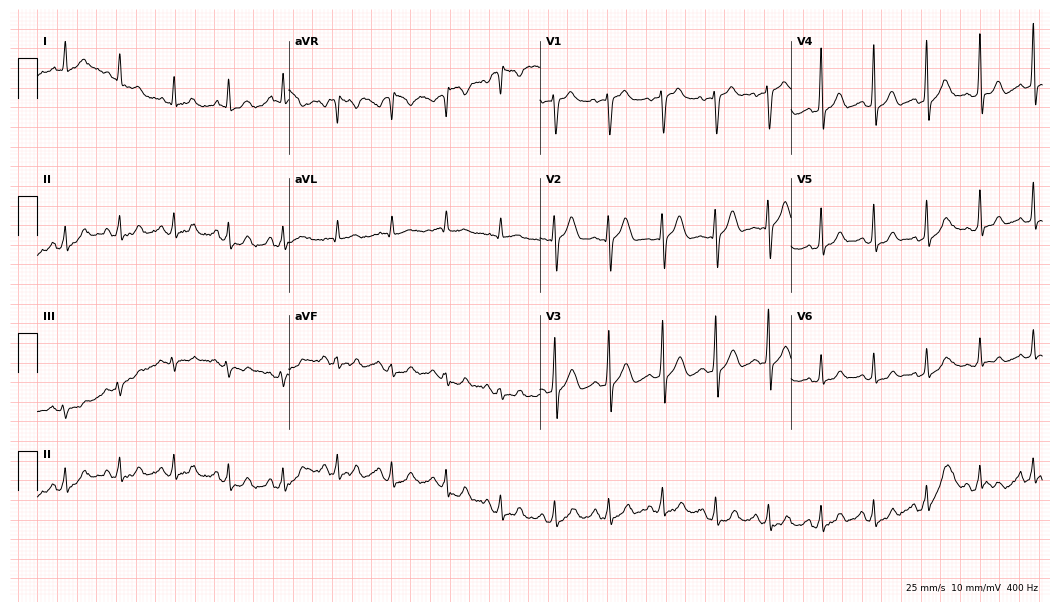
12-lead ECG from a 47-year-old male (10.2-second recording at 400 Hz). Shows sinus tachycardia (a sinus rate of 100 beats per minute or more).